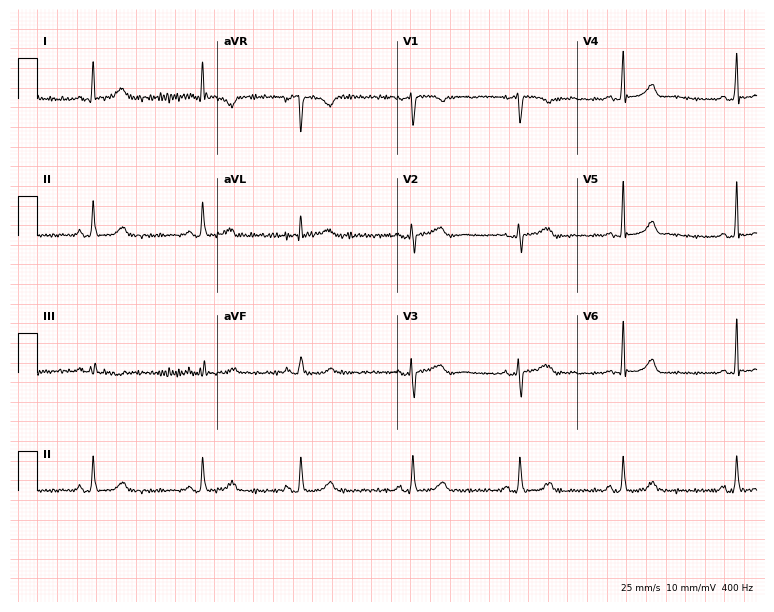
Standard 12-lead ECG recorded from a 22-year-old female patient. Read as a normal ECG.